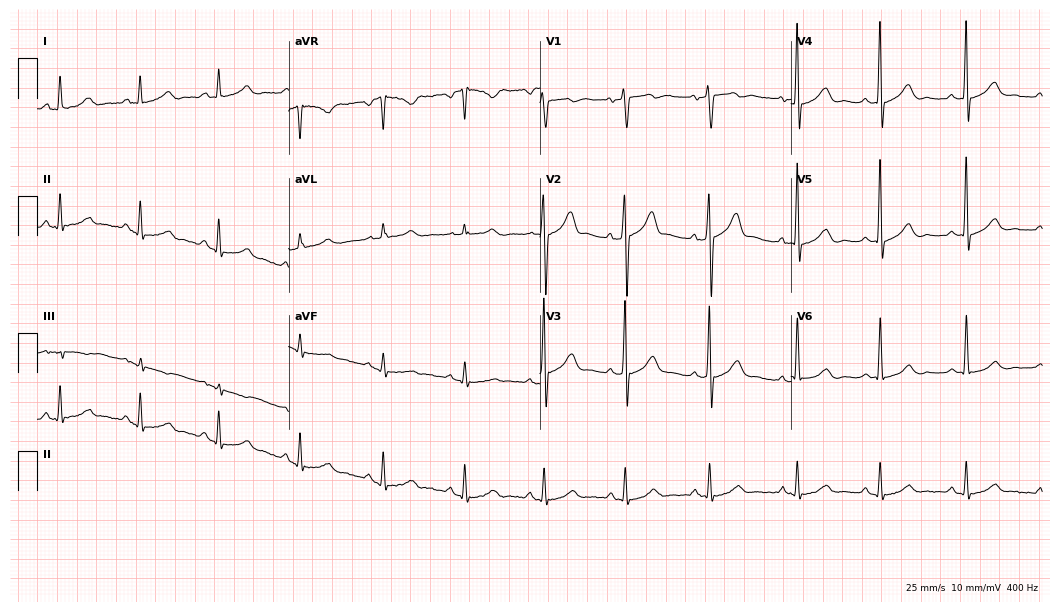
ECG (10.2-second recording at 400 Hz) — a 52-year-old man. Labelled as a normal ECG.